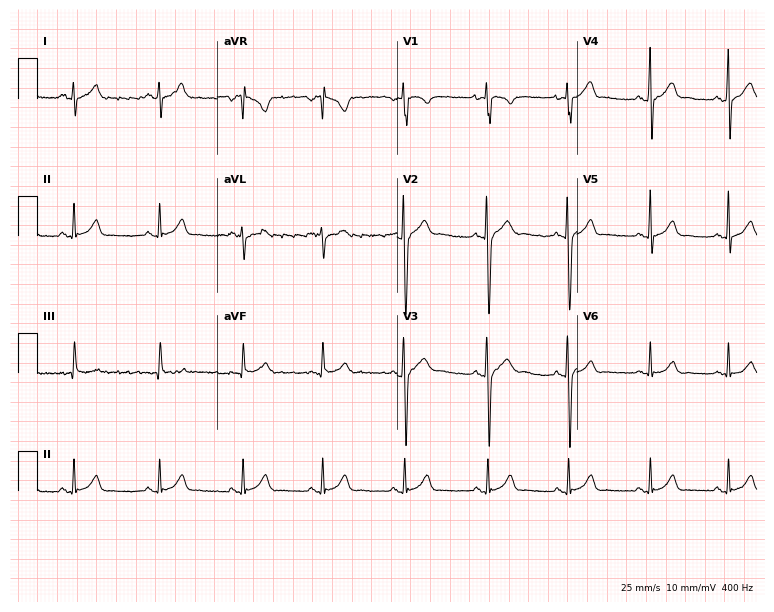
Electrocardiogram (7.3-second recording at 400 Hz), a man, 19 years old. Overall reading on record: normal ECG.